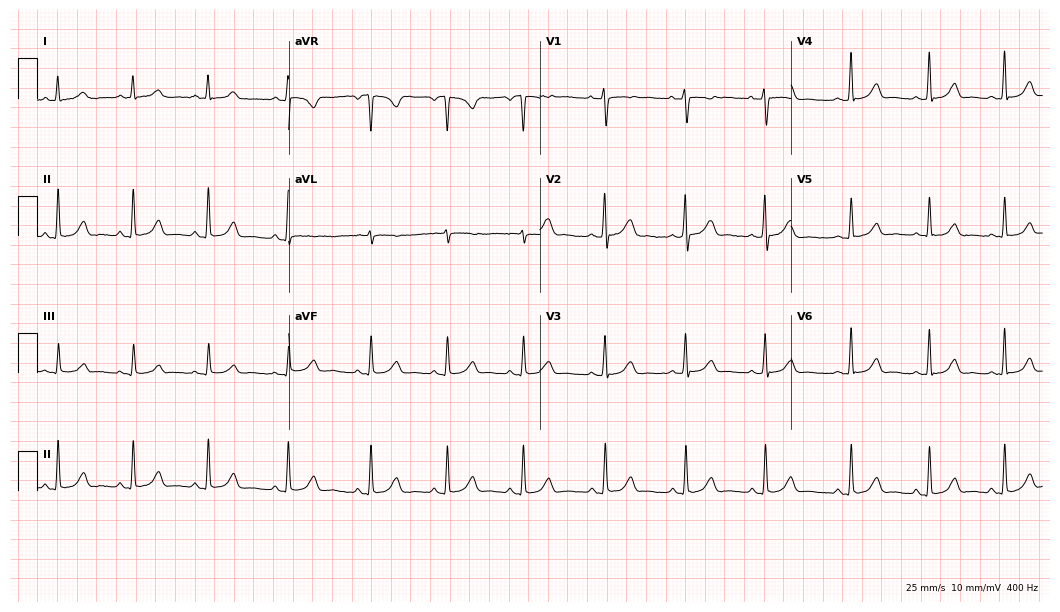
Resting 12-lead electrocardiogram. Patient: a 24-year-old female. Read as a normal ECG.